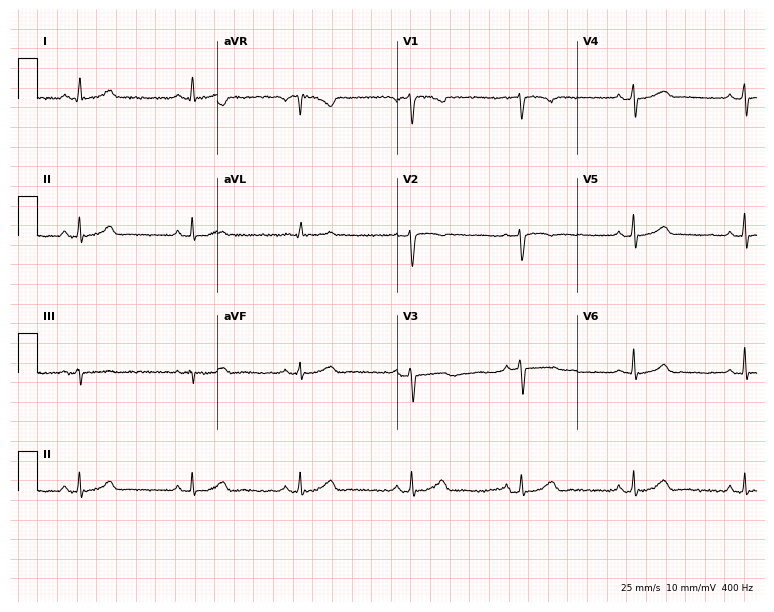
ECG (7.3-second recording at 400 Hz) — a female patient, 42 years old. Screened for six findings — first-degree AV block, right bundle branch block, left bundle branch block, sinus bradycardia, atrial fibrillation, sinus tachycardia — none is recorded.